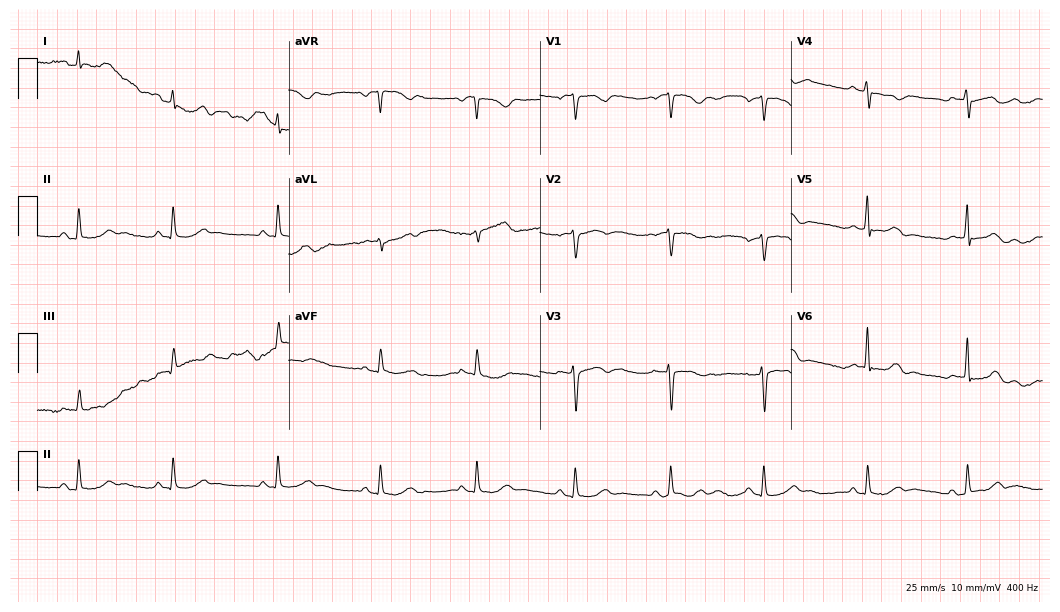
12-lead ECG from a female, 42 years old (10.2-second recording at 400 Hz). Recorded interpretation: within normal limits.